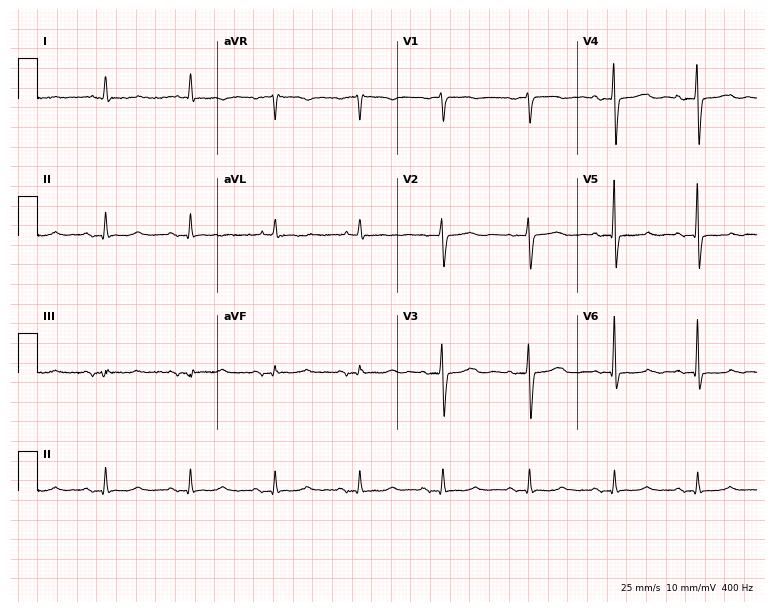
12-lead ECG from a 77-year-old woman. Screened for six findings — first-degree AV block, right bundle branch block, left bundle branch block, sinus bradycardia, atrial fibrillation, sinus tachycardia — none is recorded.